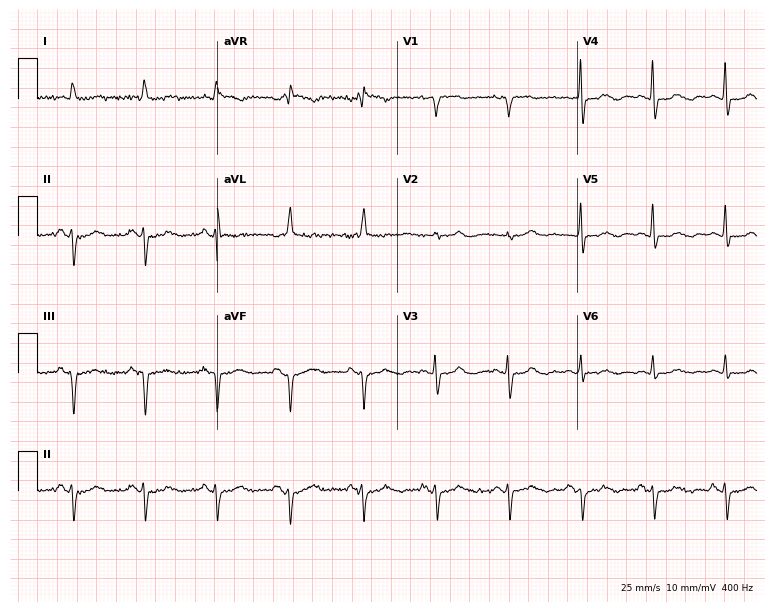
ECG — a woman, 79 years old. Screened for six findings — first-degree AV block, right bundle branch block, left bundle branch block, sinus bradycardia, atrial fibrillation, sinus tachycardia — none is recorded. Only these six findings were labelled.